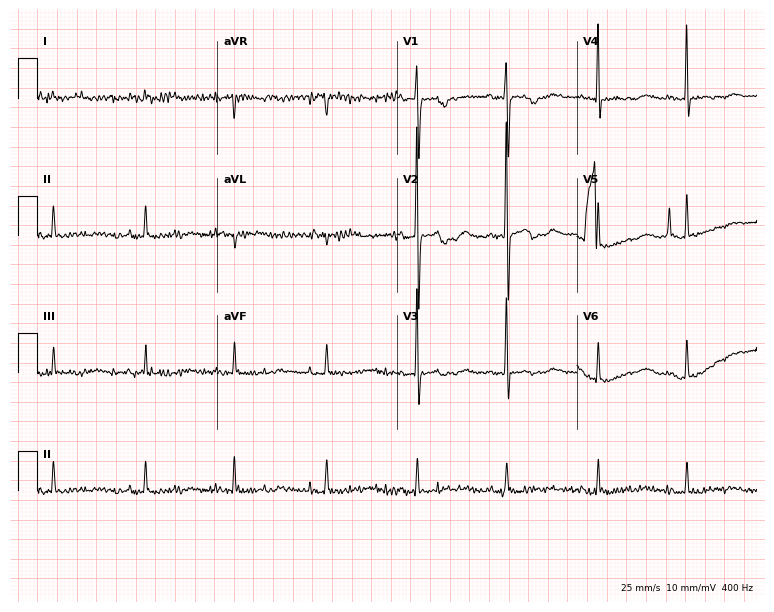
Standard 12-lead ECG recorded from an 85-year-old woman. None of these six findings is recorded: first-degree AV block, right bundle branch block (RBBB), left bundle branch block (LBBB), sinus bradycardia, atrial fibrillation (AF), sinus tachycardia.